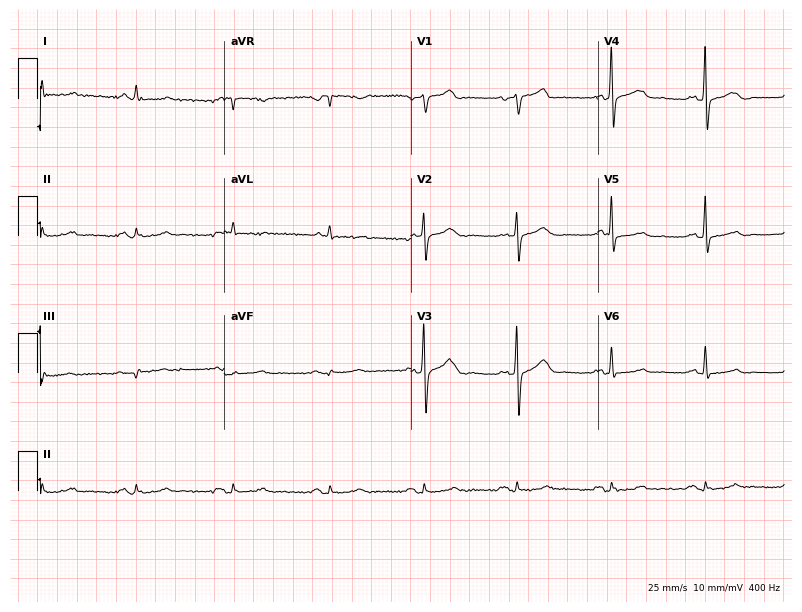
Standard 12-lead ECG recorded from a 66-year-old man (7.6-second recording at 400 Hz). Read as a normal ECG.